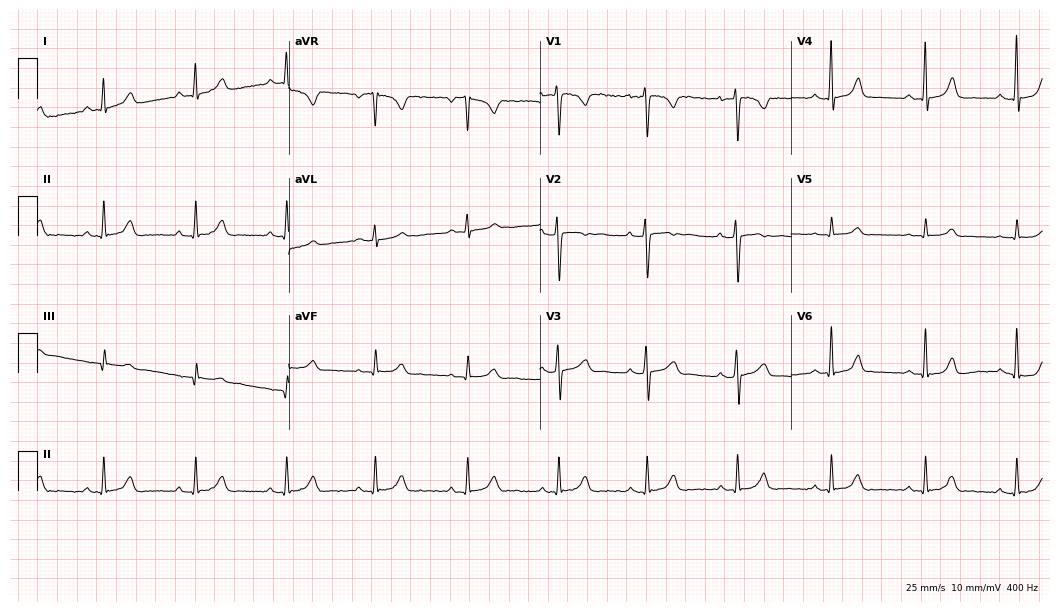
12-lead ECG (10.2-second recording at 400 Hz) from a woman, 28 years old. Labelled as a normal ECG.